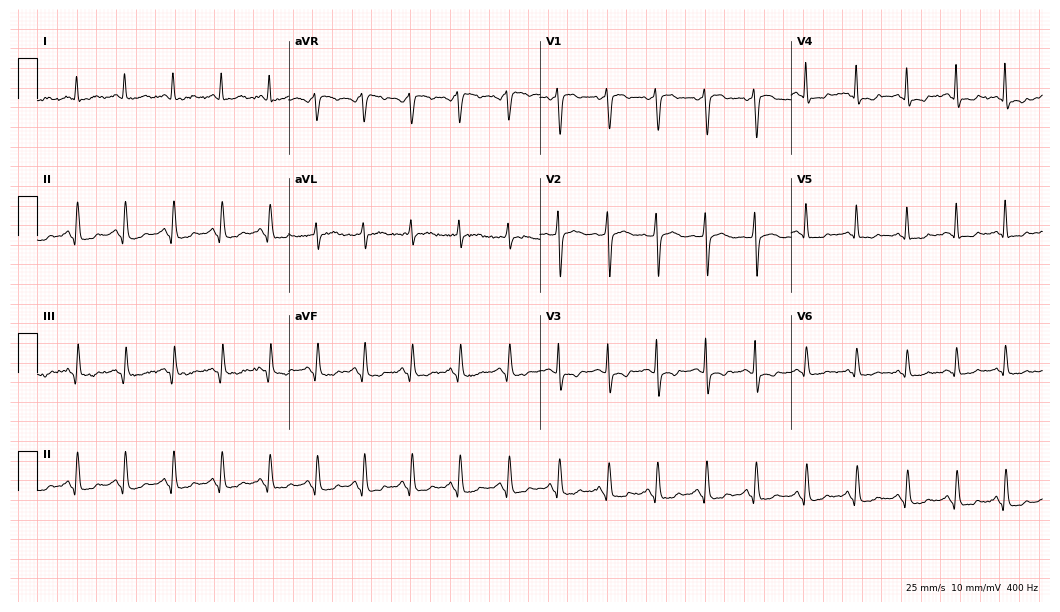
Electrocardiogram (10.2-second recording at 400 Hz), a 45-year-old female. Interpretation includes sinus tachycardia (a sinus rate of 100 beats per minute or more).